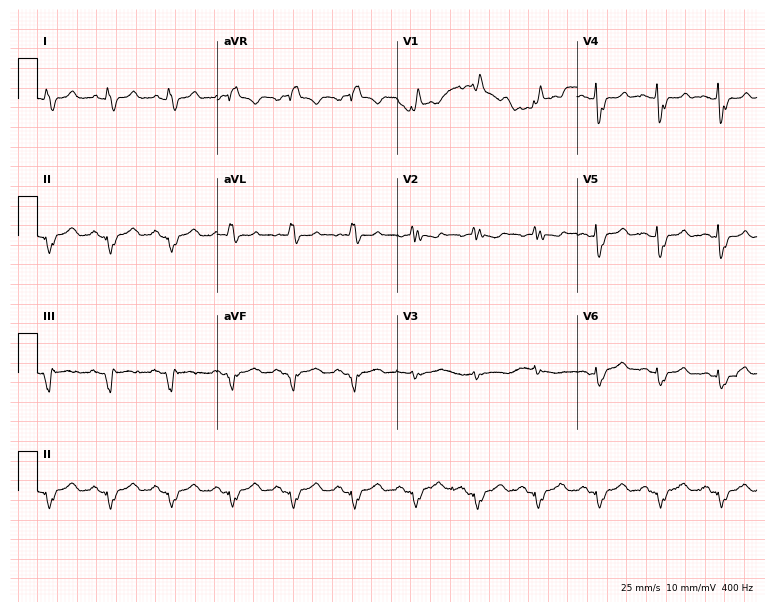
Standard 12-lead ECG recorded from a 72-year-old female patient (7.3-second recording at 400 Hz). The tracing shows right bundle branch block.